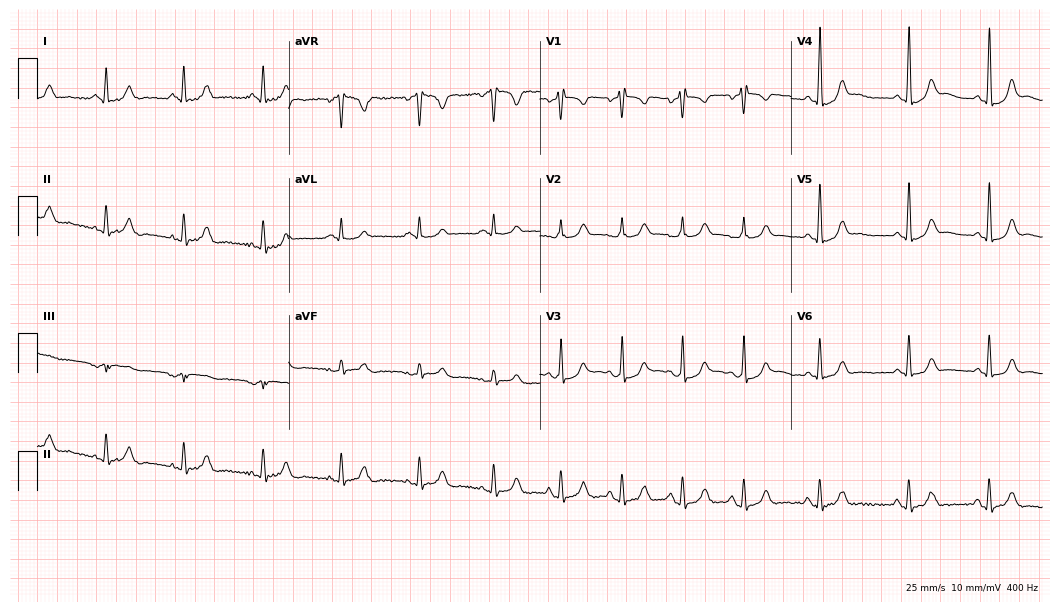
Resting 12-lead electrocardiogram. Patient: a female, 48 years old. None of these six findings is recorded: first-degree AV block, right bundle branch block, left bundle branch block, sinus bradycardia, atrial fibrillation, sinus tachycardia. Other findings, if any, are not listed.